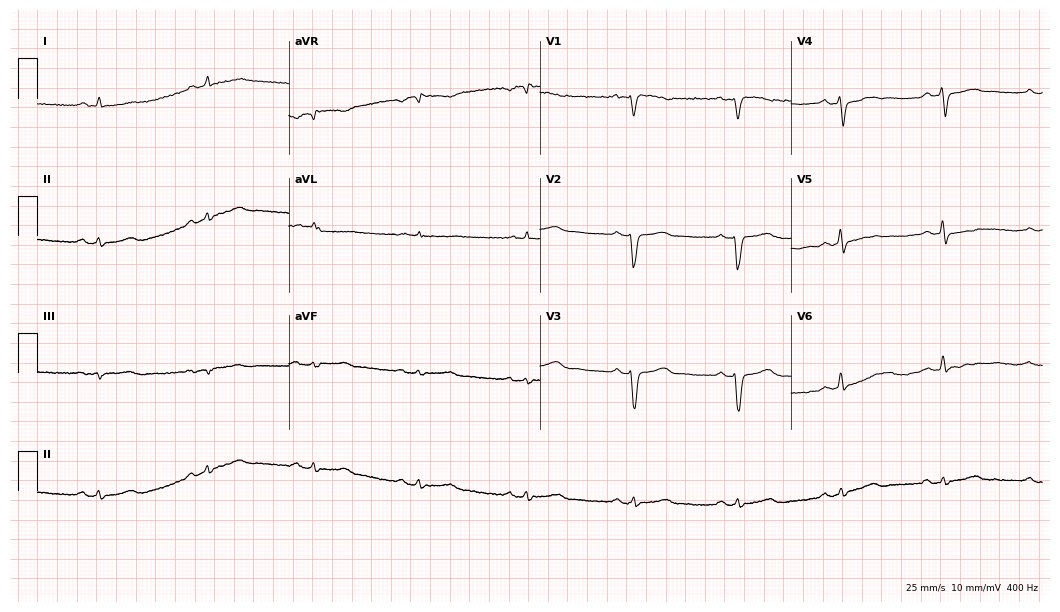
12-lead ECG from a 62-year-old male. Screened for six findings — first-degree AV block, right bundle branch block, left bundle branch block, sinus bradycardia, atrial fibrillation, sinus tachycardia — none is recorded. Other findings, if any, are not listed.